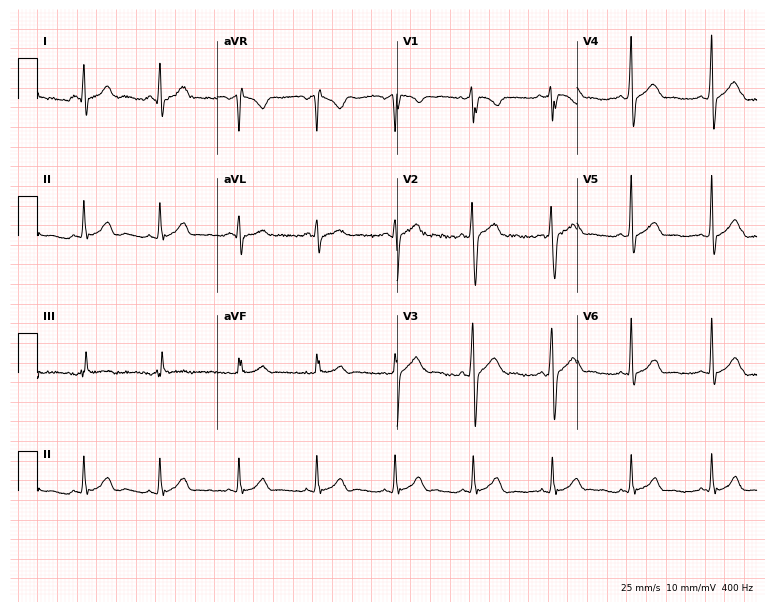
12-lead ECG from a male, 29 years old (7.3-second recording at 400 Hz). Recorded interpretation: within normal limits.